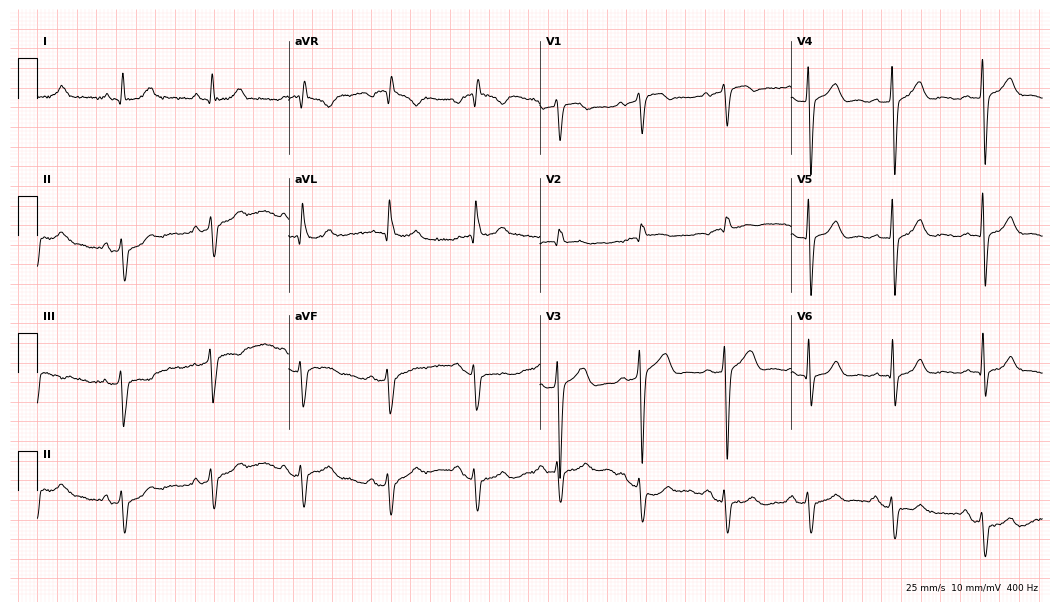
12-lead ECG from an 84-year-old male patient (10.2-second recording at 400 Hz). Shows right bundle branch block (RBBB).